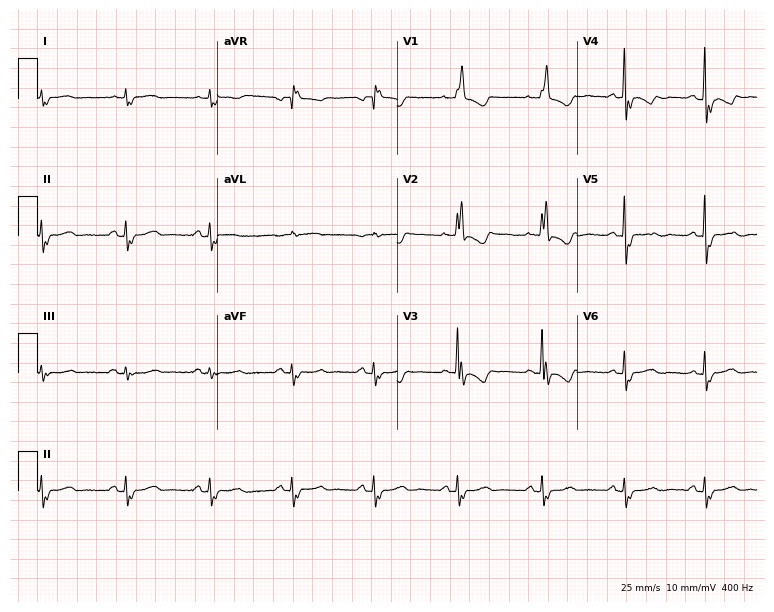
Standard 12-lead ECG recorded from a female patient, 85 years old. None of these six findings is recorded: first-degree AV block, right bundle branch block, left bundle branch block, sinus bradycardia, atrial fibrillation, sinus tachycardia.